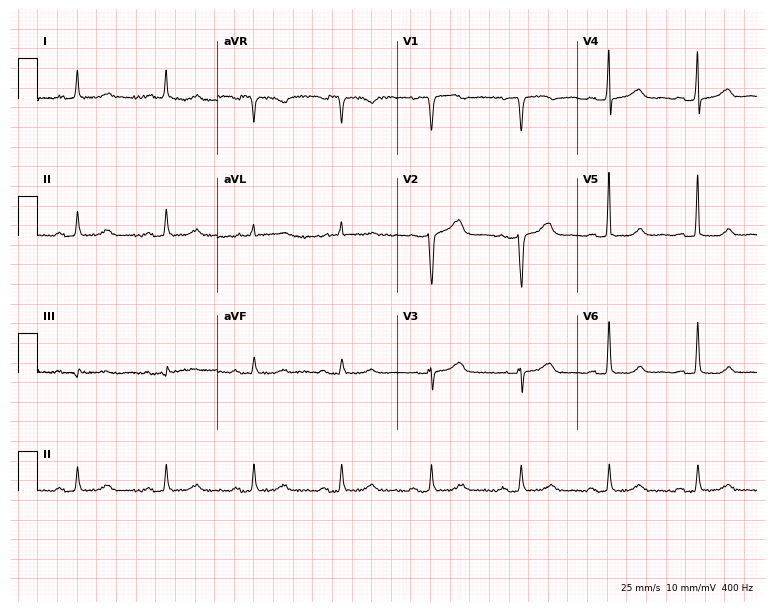
12-lead ECG from an 81-year-old woman. No first-degree AV block, right bundle branch block, left bundle branch block, sinus bradycardia, atrial fibrillation or sinus tachycardia recorded for this tracing.